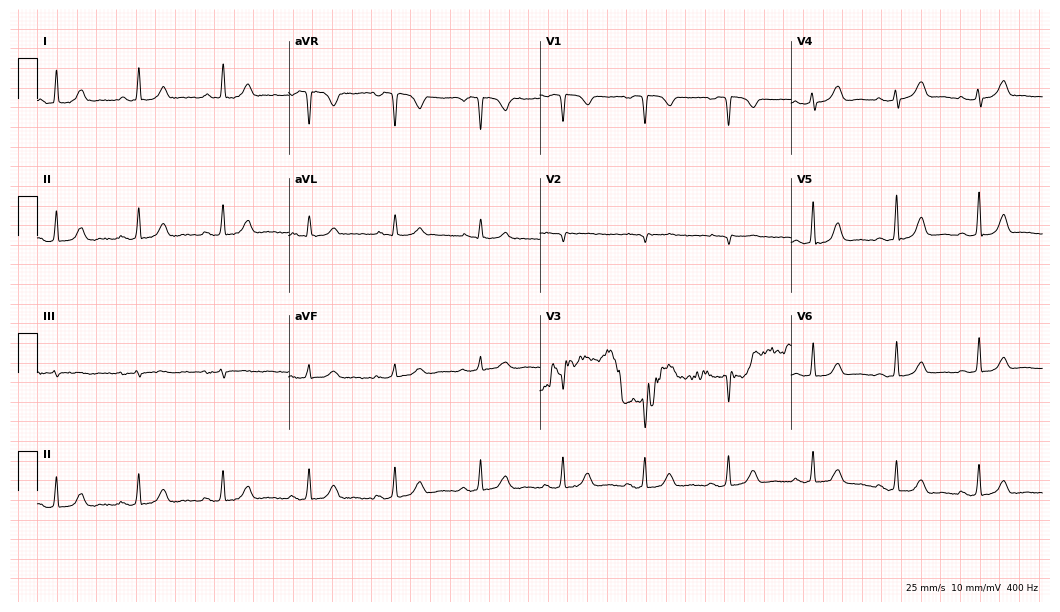
Resting 12-lead electrocardiogram (10.2-second recording at 400 Hz). Patient: a woman, 46 years old. Read as a normal ECG.